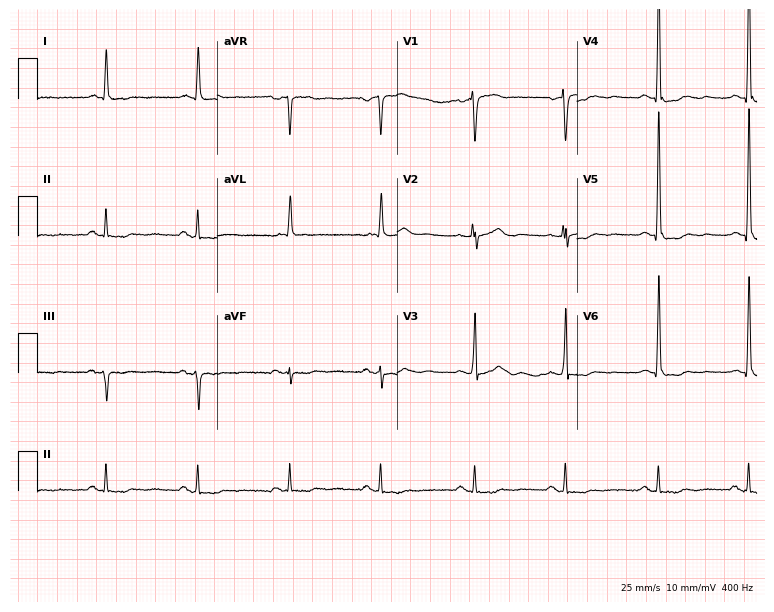
Standard 12-lead ECG recorded from a female patient, 73 years old. None of these six findings is recorded: first-degree AV block, right bundle branch block (RBBB), left bundle branch block (LBBB), sinus bradycardia, atrial fibrillation (AF), sinus tachycardia.